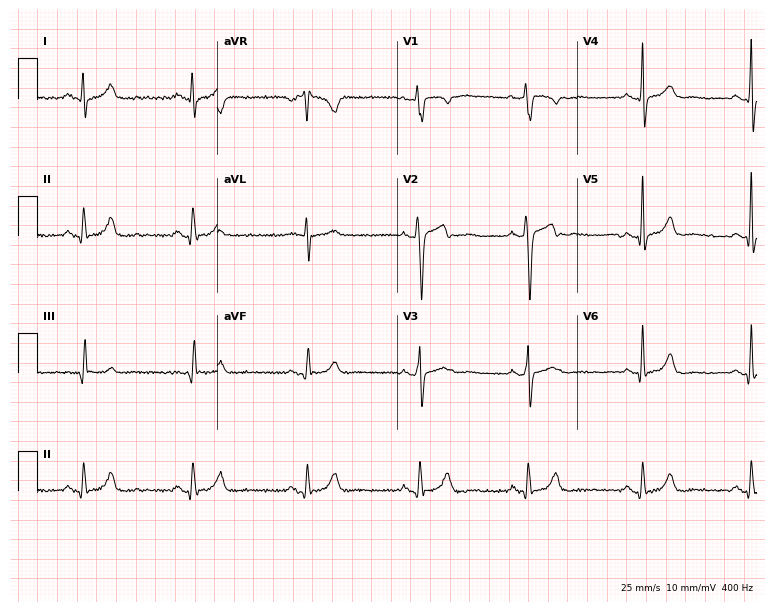
Standard 12-lead ECG recorded from a 32-year-old male patient. Read as a normal ECG.